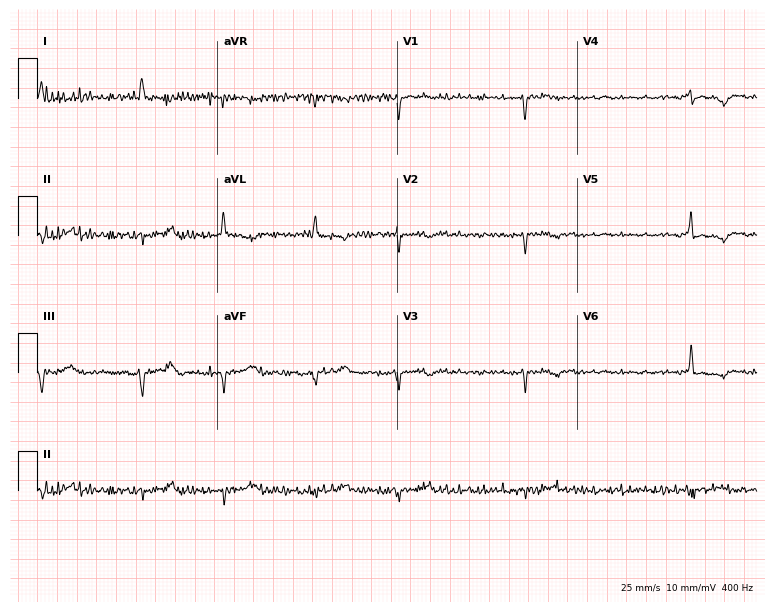
12-lead ECG from an 81-year-old male. No first-degree AV block, right bundle branch block, left bundle branch block, sinus bradycardia, atrial fibrillation or sinus tachycardia recorded for this tracing.